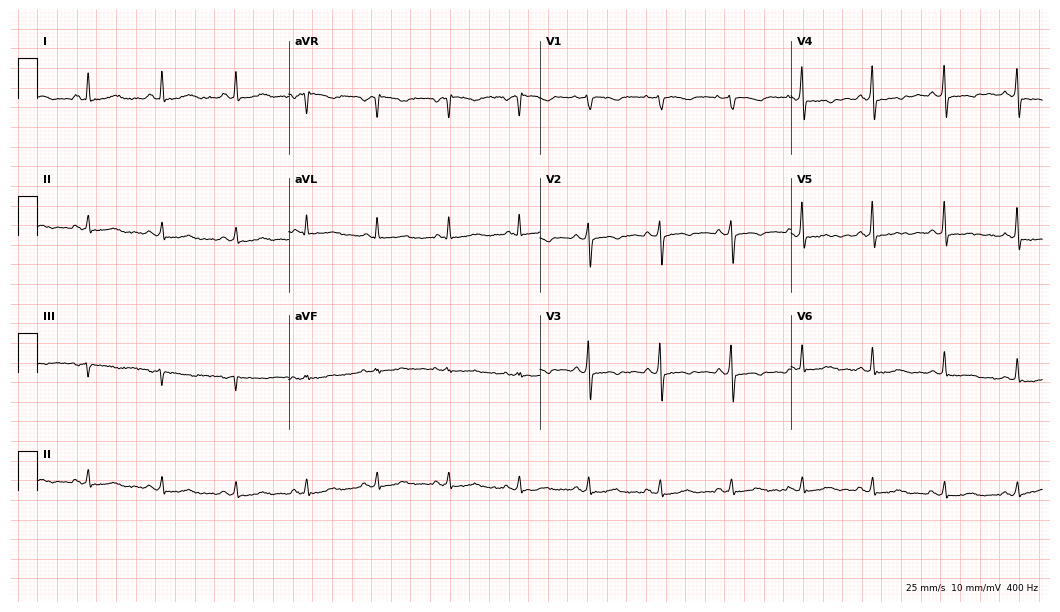
12-lead ECG from a 54-year-old female (10.2-second recording at 400 Hz). No first-degree AV block, right bundle branch block (RBBB), left bundle branch block (LBBB), sinus bradycardia, atrial fibrillation (AF) or sinus tachycardia recorded for this tracing.